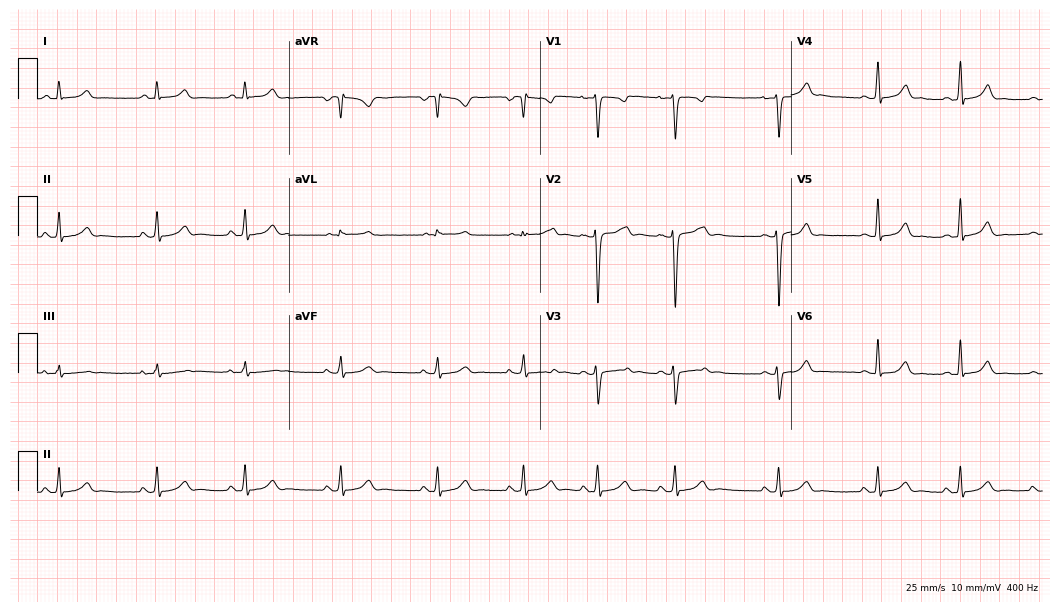
Resting 12-lead electrocardiogram. Patient: a 17-year-old female. Read as a normal ECG.